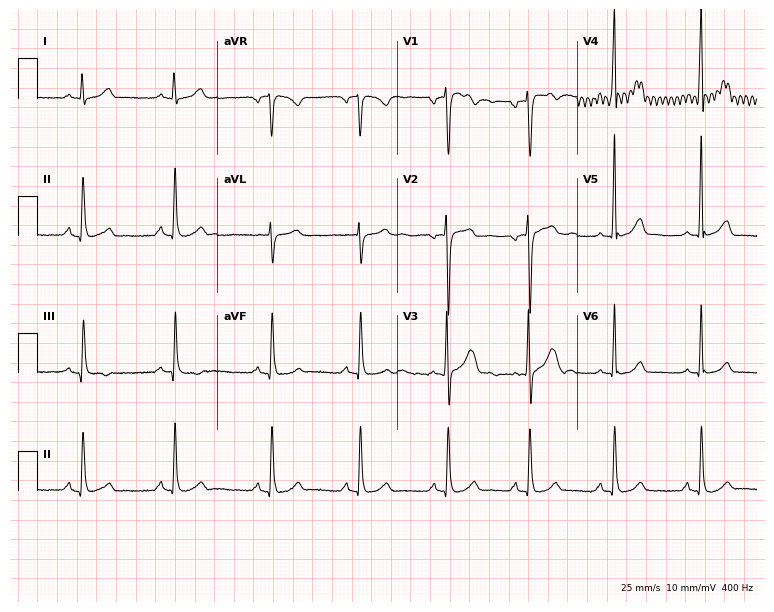
Standard 12-lead ECG recorded from a male patient, 18 years old (7.3-second recording at 400 Hz). Read as a normal ECG.